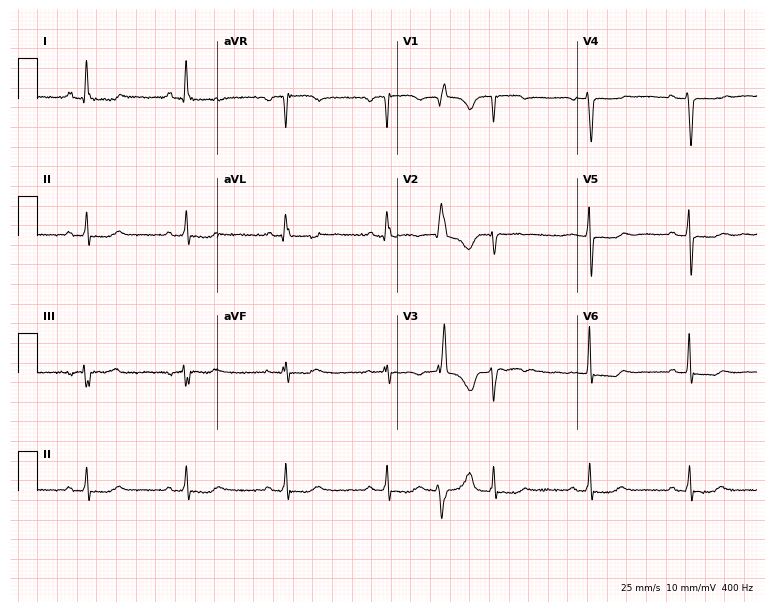
12-lead ECG from a 73-year-old woman. No first-degree AV block, right bundle branch block, left bundle branch block, sinus bradycardia, atrial fibrillation or sinus tachycardia recorded for this tracing. Only these six findings were labelled.